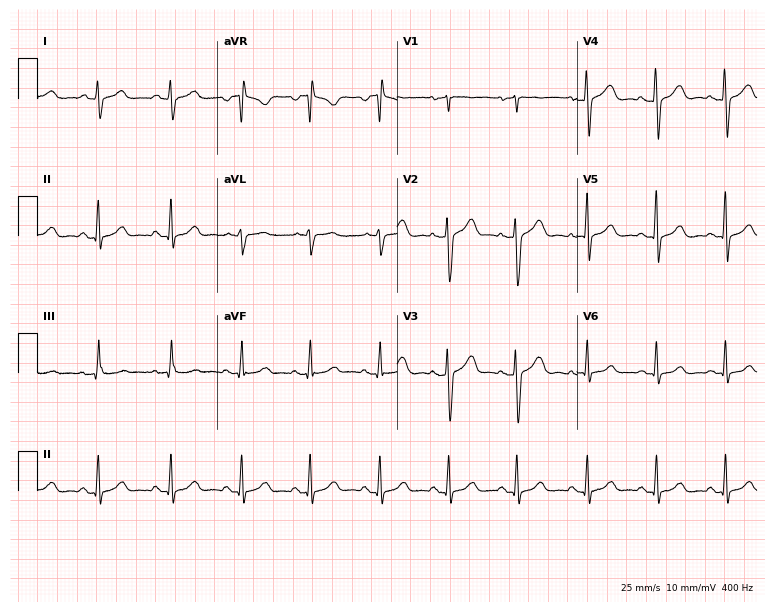
Resting 12-lead electrocardiogram. Patient: a 37-year-old female. None of these six findings is recorded: first-degree AV block, right bundle branch block, left bundle branch block, sinus bradycardia, atrial fibrillation, sinus tachycardia.